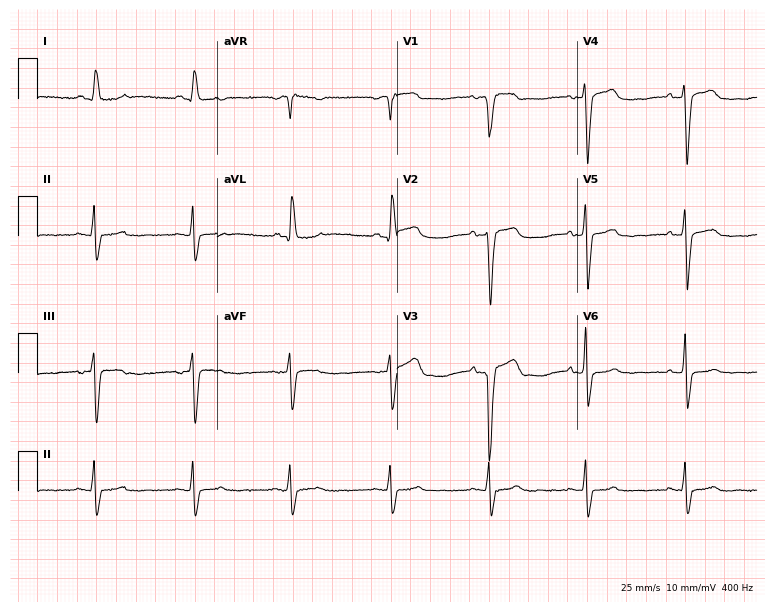
Standard 12-lead ECG recorded from a male patient, 73 years old (7.3-second recording at 400 Hz). The tracing shows left bundle branch block.